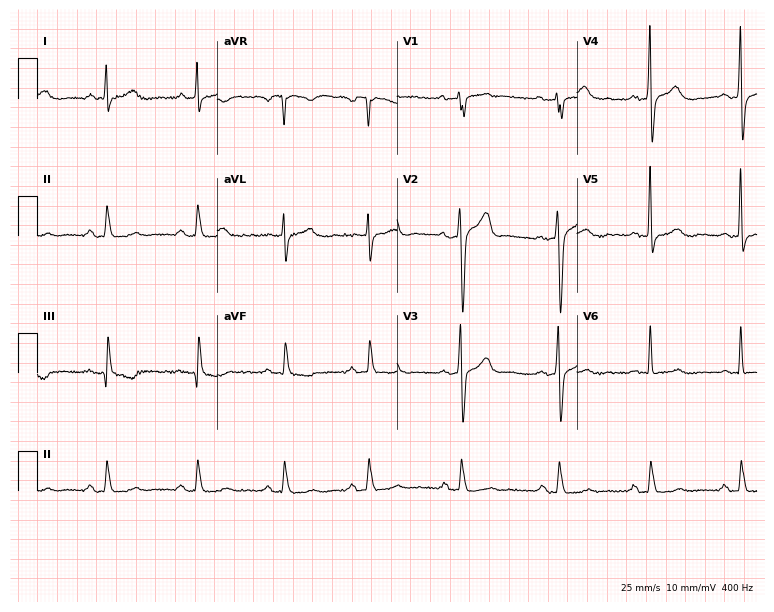
Standard 12-lead ECG recorded from a male patient, 56 years old (7.3-second recording at 400 Hz). Read as a normal ECG.